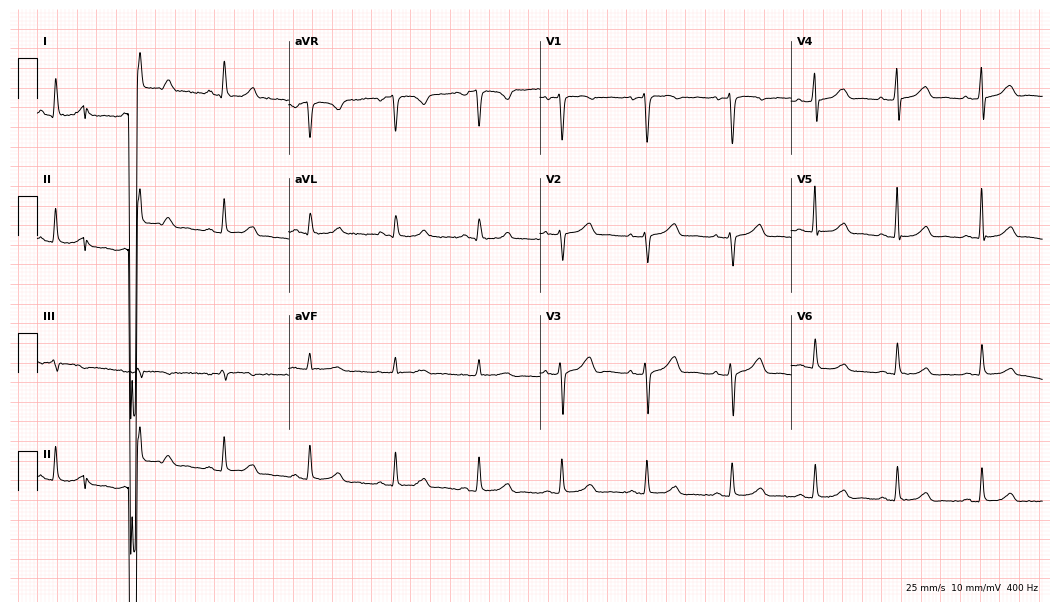
ECG (10.2-second recording at 400 Hz) — a woman, 57 years old. Labelled as a normal ECG.